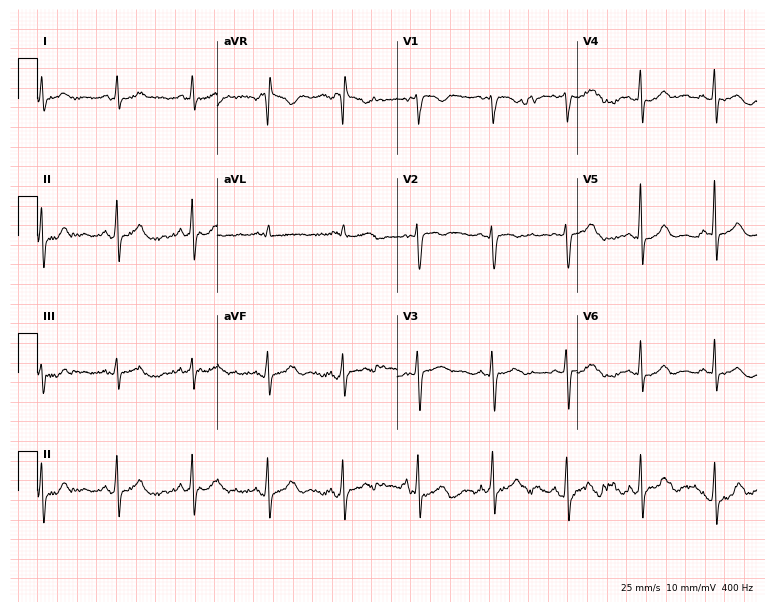
12-lead ECG (7.3-second recording at 400 Hz) from a 55-year-old female patient. Labelled as a normal ECG.